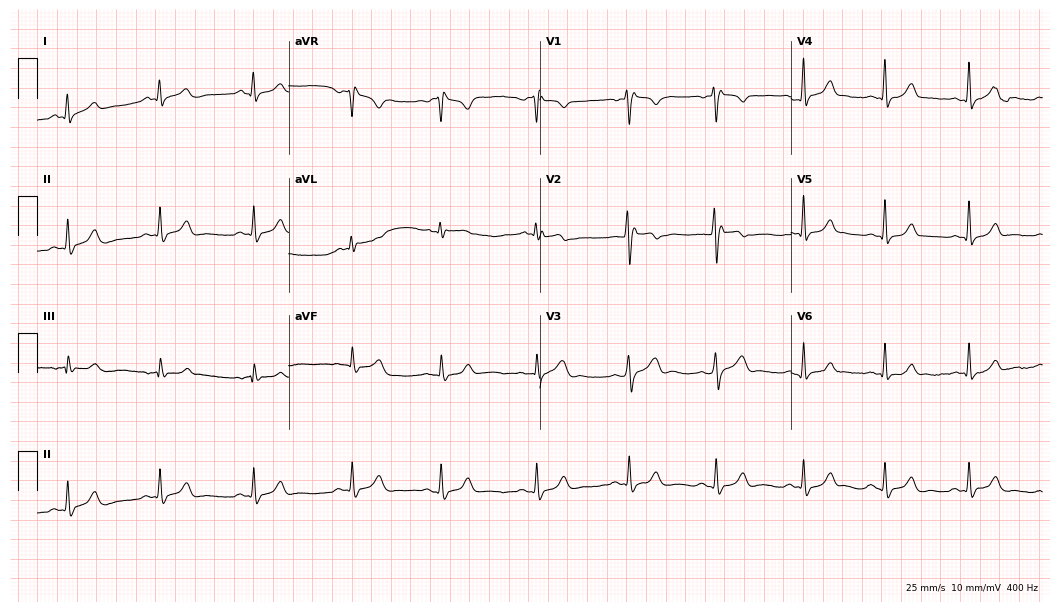
12-lead ECG from a male patient, 26 years old. Screened for six findings — first-degree AV block, right bundle branch block (RBBB), left bundle branch block (LBBB), sinus bradycardia, atrial fibrillation (AF), sinus tachycardia — none is recorded.